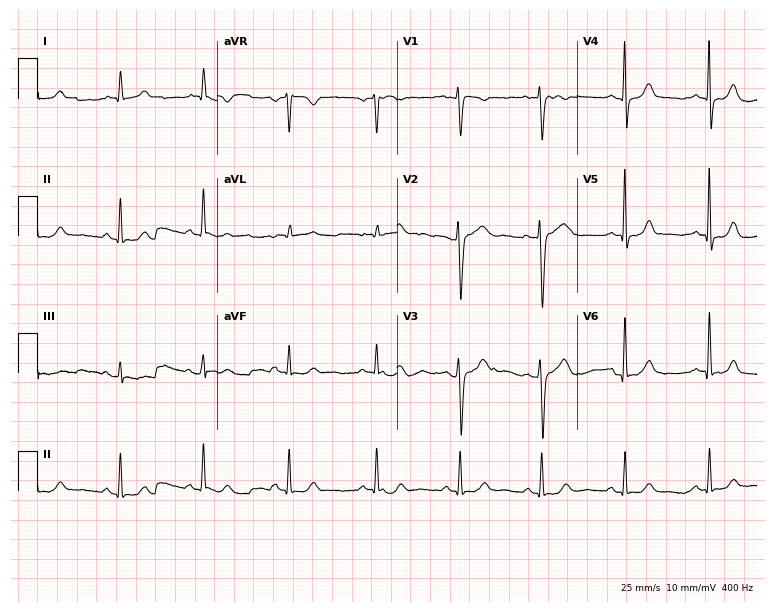
ECG (7.3-second recording at 400 Hz) — a female, 61 years old. Labelled as a normal ECG.